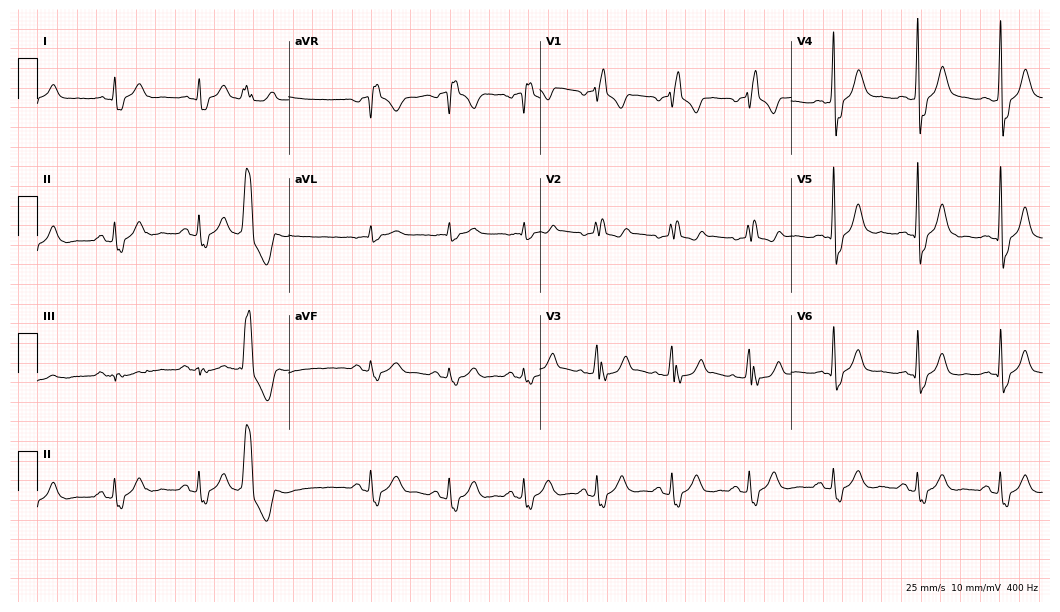
Resting 12-lead electrocardiogram. Patient: a male, 54 years old. The tracing shows right bundle branch block.